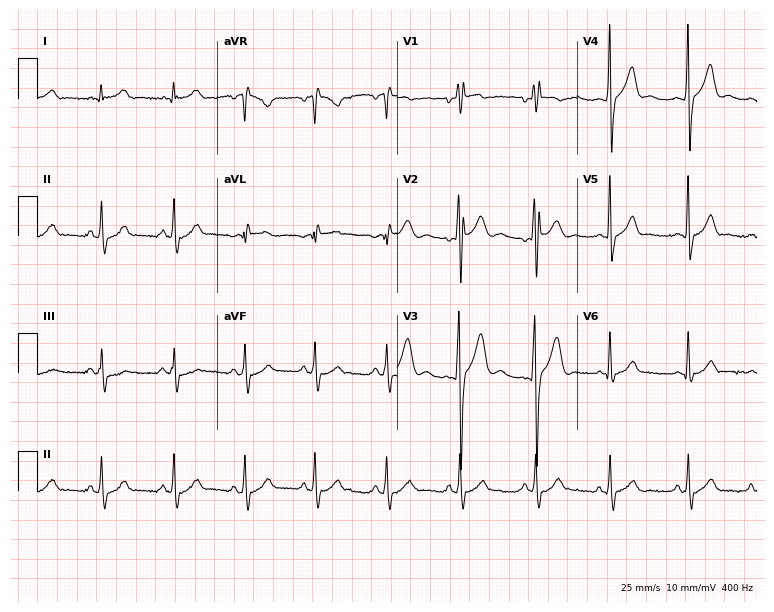
ECG (7.3-second recording at 400 Hz) — a 17-year-old male patient. Screened for six findings — first-degree AV block, right bundle branch block, left bundle branch block, sinus bradycardia, atrial fibrillation, sinus tachycardia — none is recorded. Findings outside these six are not listed.